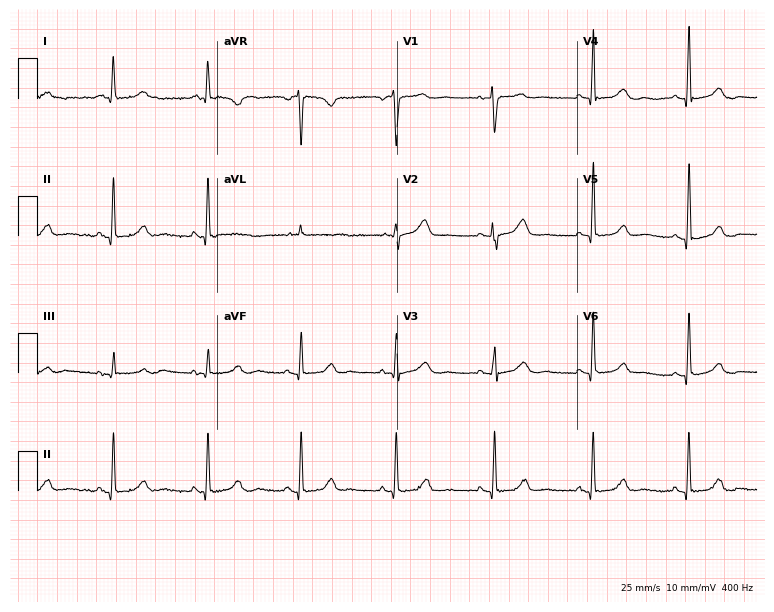
Standard 12-lead ECG recorded from a 67-year-old female (7.3-second recording at 400 Hz). Read as a normal ECG.